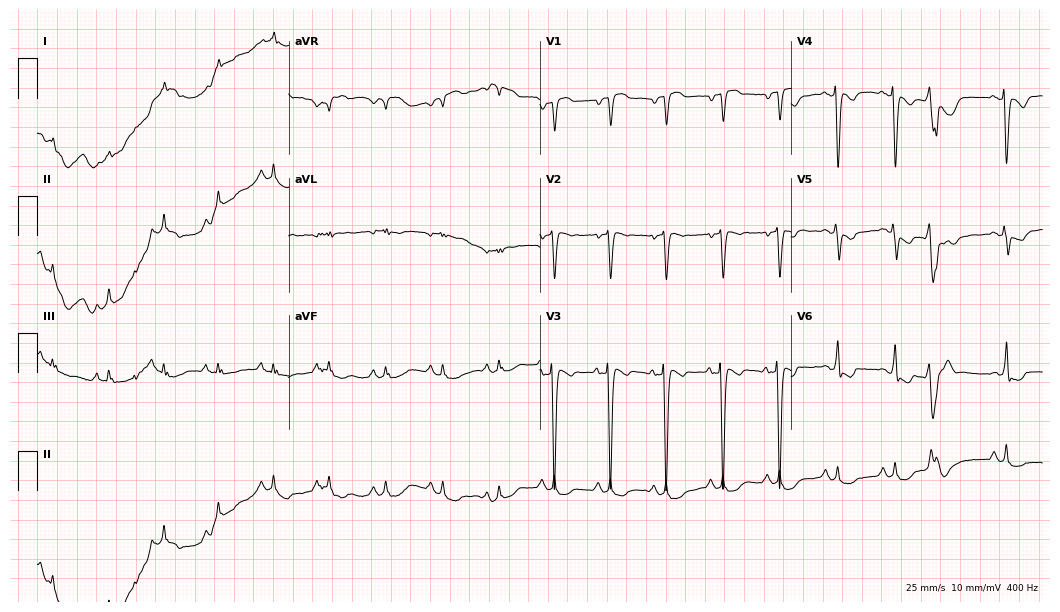
12-lead ECG from a woman, 74 years old. Findings include sinus tachycardia (a sinus rate of 100 beats per minute or more).